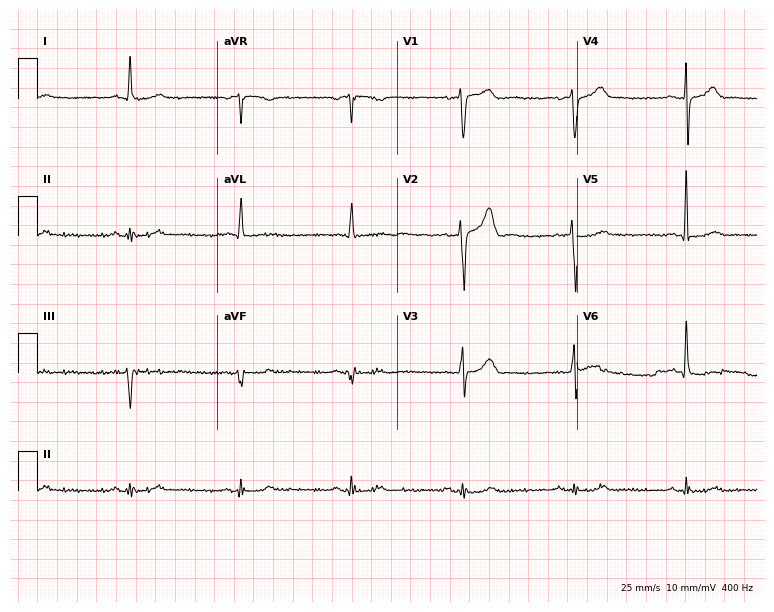
Standard 12-lead ECG recorded from a man, 68 years old (7.3-second recording at 400 Hz). None of these six findings is recorded: first-degree AV block, right bundle branch block, left bundle branch block, sinus bradycardia, atrial fibrillation, sinus tachycardia.